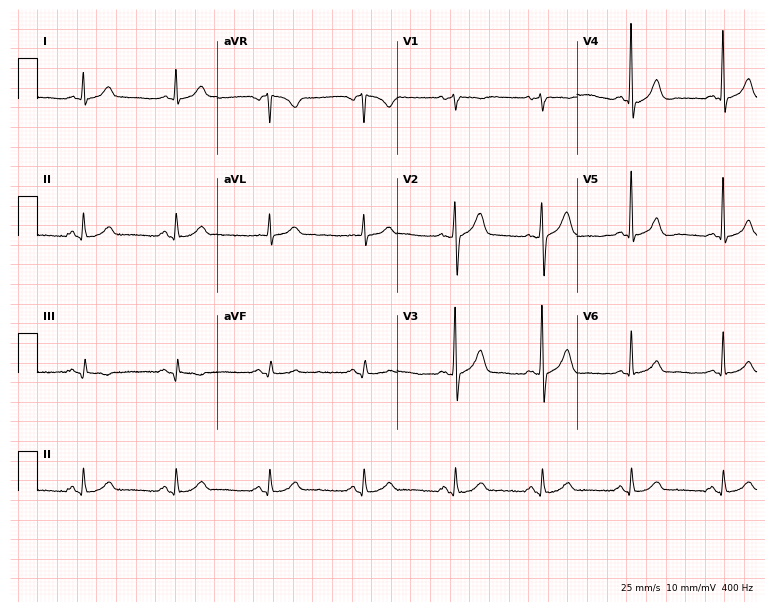
Electrocardiogram (7.3-second recording at 400 Hz), a 60-year-old male patient. Of the six screened findings (first-degree AV block, right bundle branch block, left bundle branch block, sinus bradycardia, atrial fibrillation, sinus tachycardia), none is recorded.